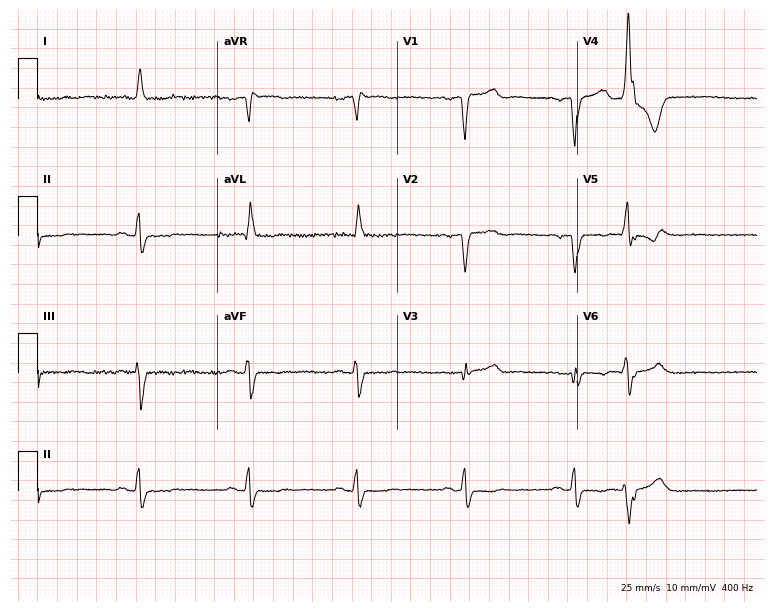
12-lead ECG (7.3-second recording at 400 Hz) from a 63-year-old woman. Screened for six findings — first-degree AV block, right bundle branch block, left bundle branch block, sinus bradycardia, atrial fibrillation, sinus tachycardia — none is recorded.